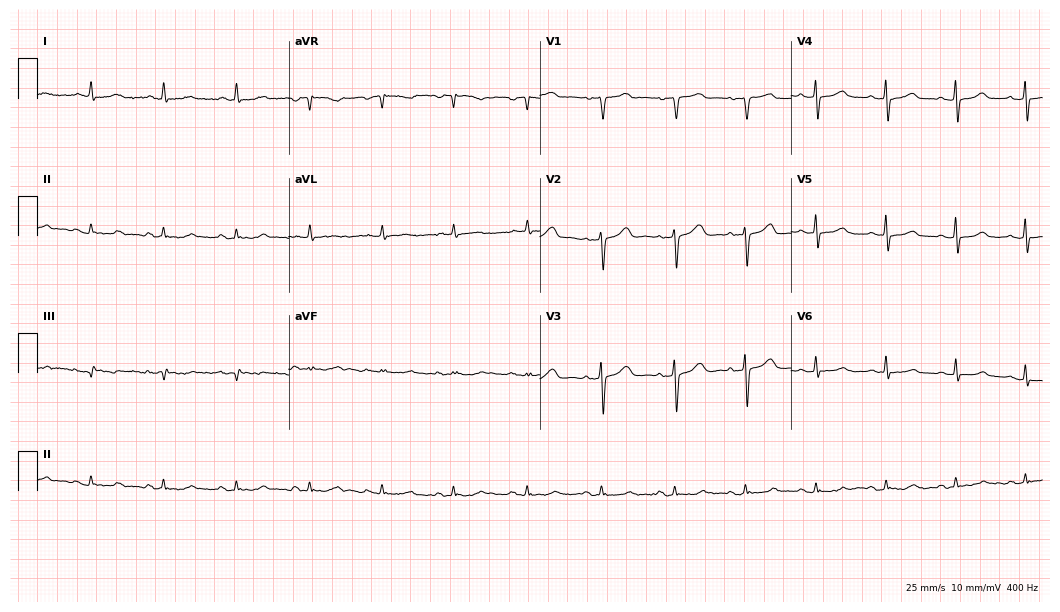
ECG (10.2-second recording at 400 Hz) — a female patient, 61 years old. Labelled as a normal ECG.